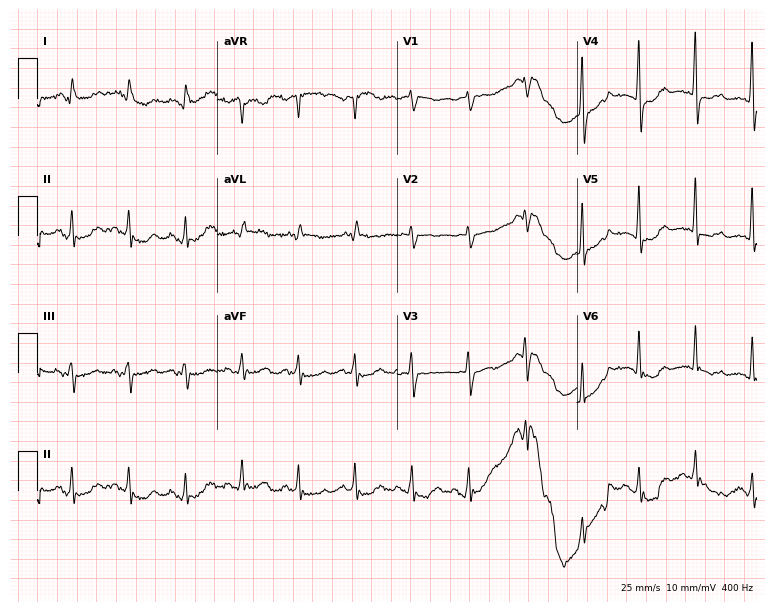
12-lead ECG (7.3-second recording at 400 Hz) from a 67-year-old female patient. Findings include sinus tachycardia (a sinus rate of 100 beats per minute or more).